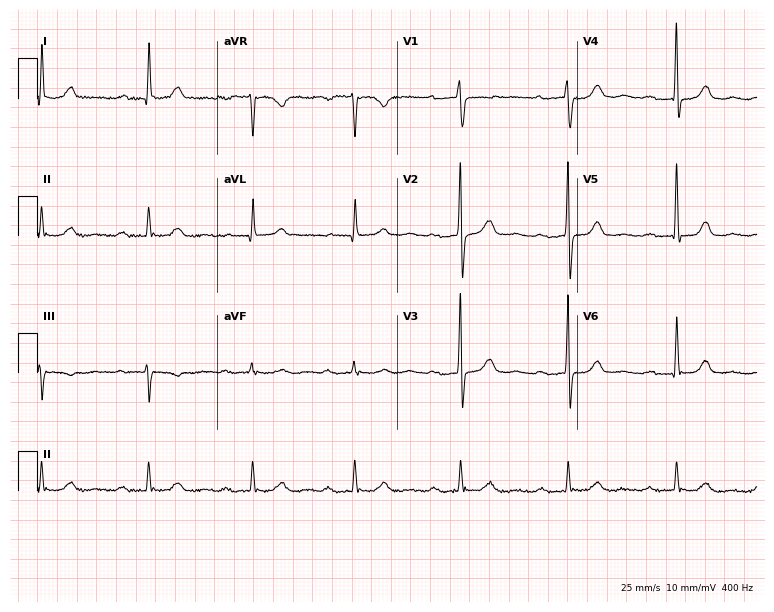
Electrocardiogram, a female, 68 years old. Interpretation includes first-degree AV block.